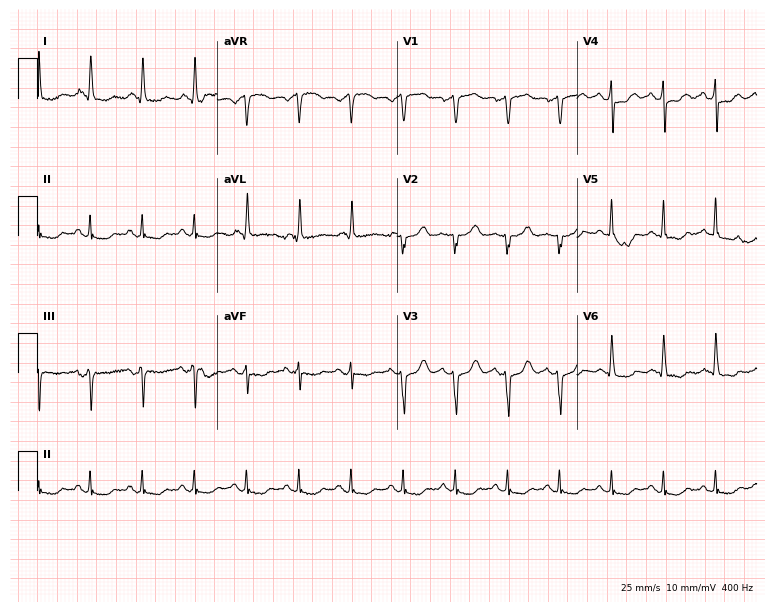
Standard 12-lead ECG recorded from a 28-year-old female patient (7.3-second recording at 400 Hz). The tracing shows sinus tachycardia (a sinus rate of 100 beats per minute or more).